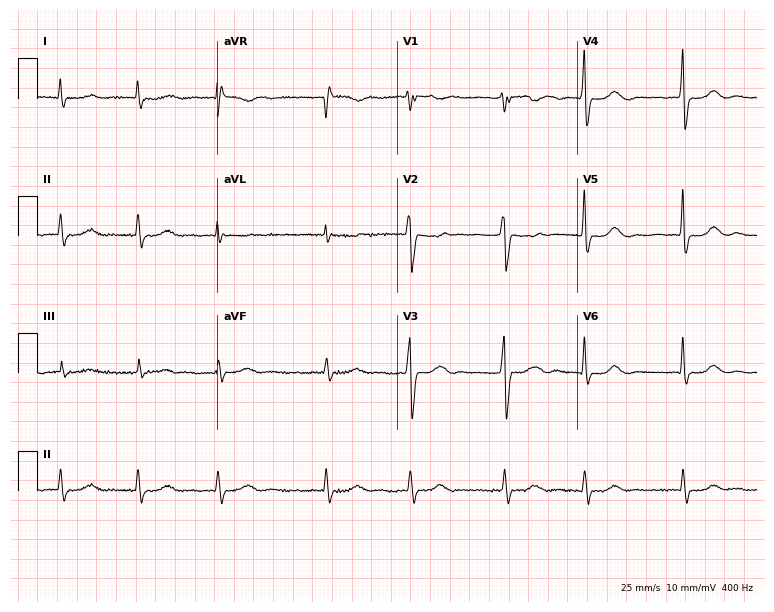
12-lead ECG (7.3-second recording at 400 Hz) from an 80-year-old female patient. Findings include atrial fibrillation.